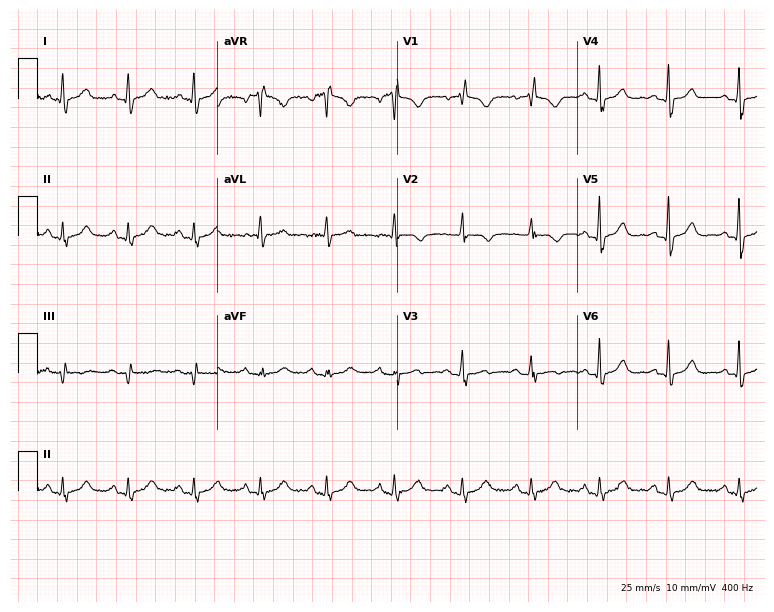
12-lead ECG from a 68-year-old female patient. No first-degree AV block, right bundle branch block, left bundle branch block, sinus bradycardia, atrial fibrillation or sinus tachycardia recorded for this tracing. Other findings, if any, are not listed.